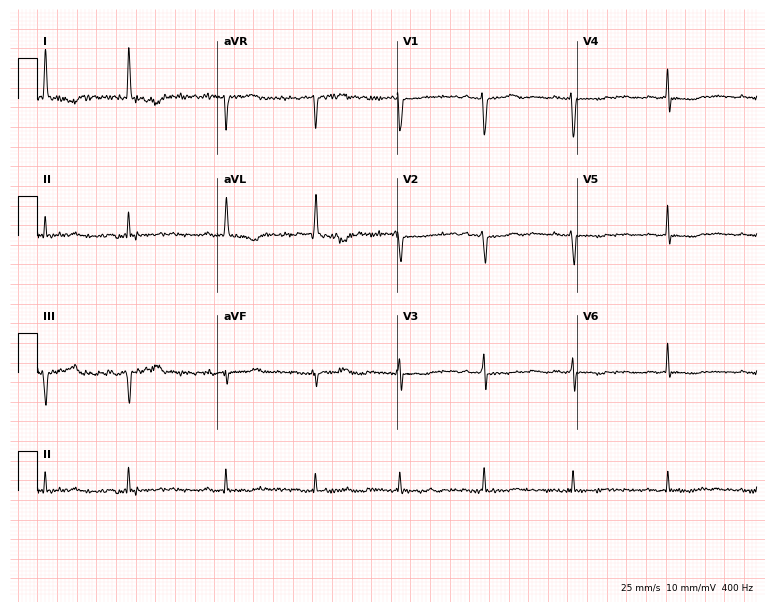
Resting 12-lead electrocardiogram (7.3-second recording at 400 Hz). Patient: a 65-year-old woman. None of these six findings is recorded: first-degree AV block, right bundle branch block (RBBB), left bundle branch block (LBBB), sinus bradycardia, atrial fibrillation (AF), sinus tachycardia.